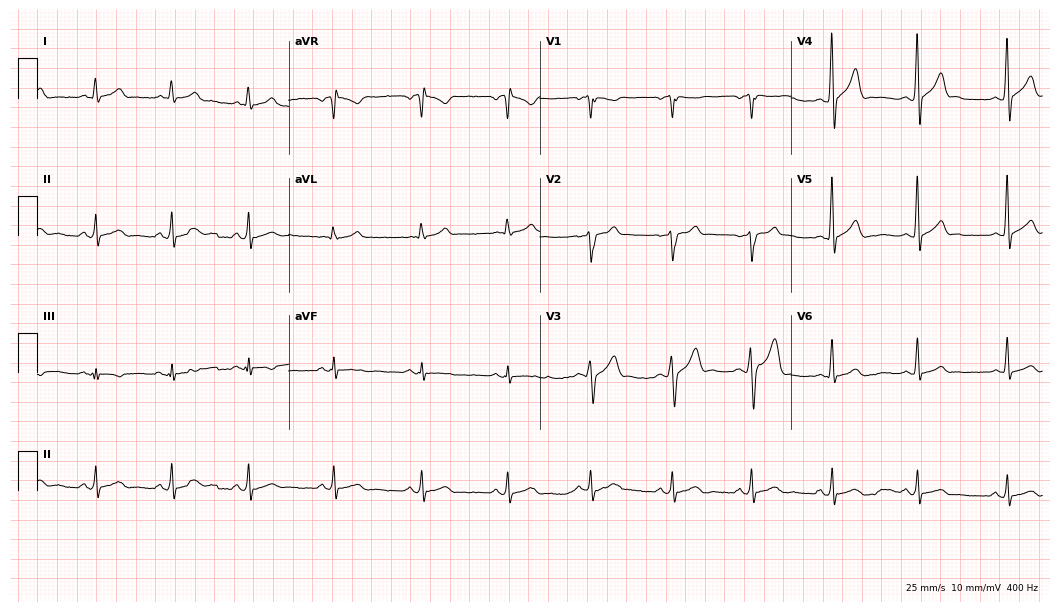
Standard 12-lead ECG recorded from a 20-year-old male patient (10.2-second recording at 400 Hz). Read as a normal ECG.